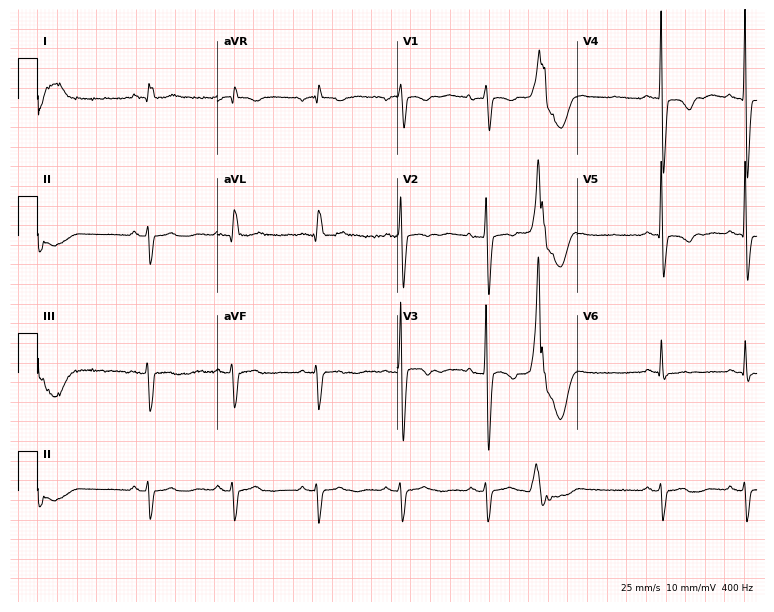
ECG — a female patient, 79 years old. Screened for six findings — first-degree AV block, right bundle branch block, left bundle branch block, sinus bradycardia, atrial fibrillation, sinus tachycardia — none is recorded.